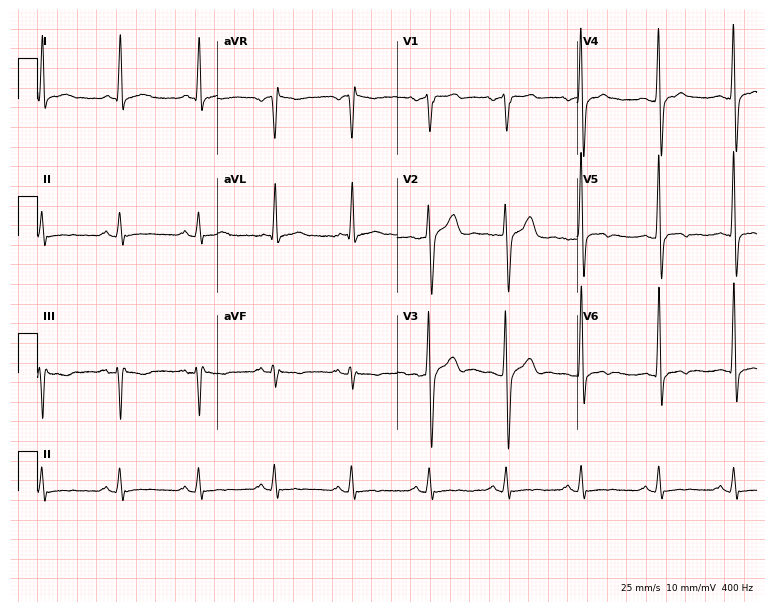
Electrocardiogram (7.3-second recording at 400 Hz), a male, 46 years old. Of the six screened findings (first-degree AV block, right bundle branch block, left bundle branch block, sinus bradycardia, atrial fibrillation, sinus tachycardia), none is recorded.